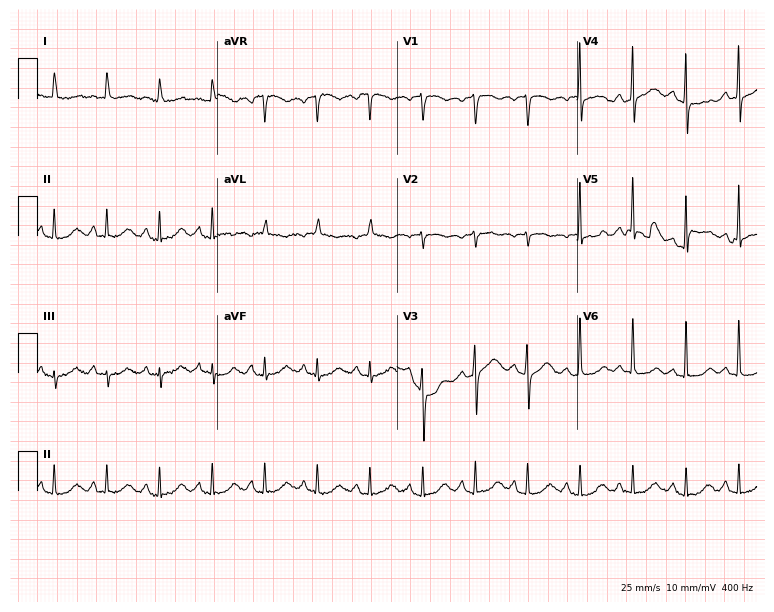
ECG — an 80-year-old woman. Findings include sinus tachycardia (a sinus rate of 100 beats per minute or more).